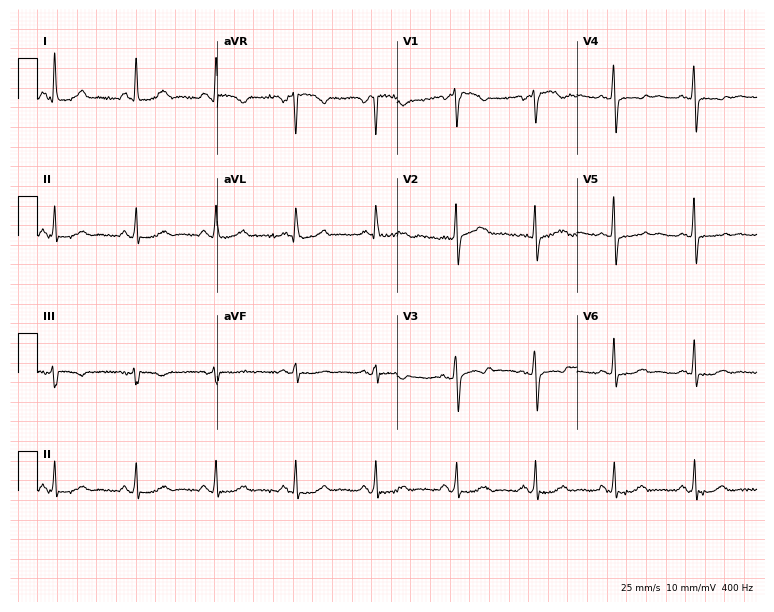
12-lead ECG from a female, 58 years old. No first-degree AV block, right bundle branch block, left bundle branch block, sinus bradycardia, atrial fibrillation or sinus tachycardia recorded for this tracing.